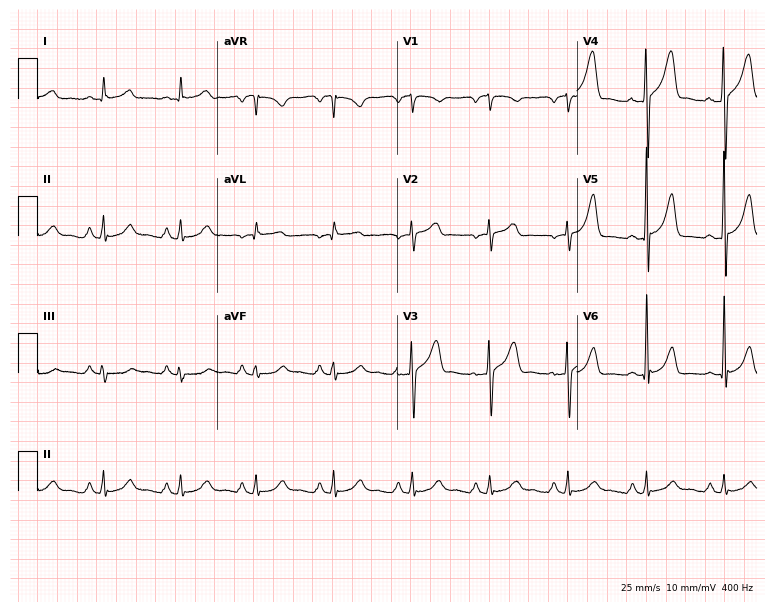
Resting 12-lead electrocardiogram. Patient: a male, 59 years old. Read as a normal ECG.